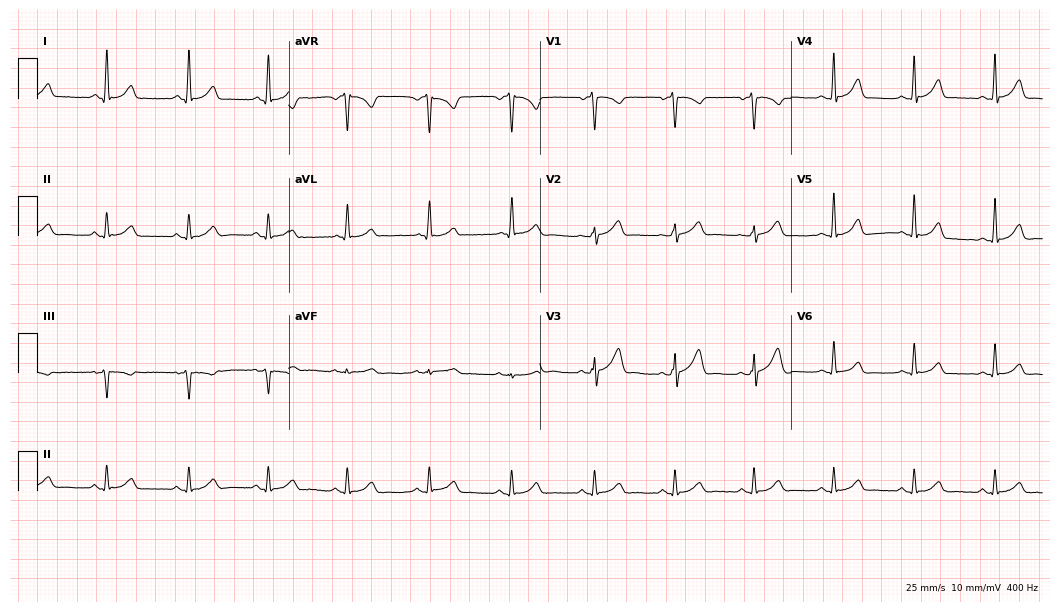
12-lead ECG from a 78-year-old female. Labelled as a normal ECG.